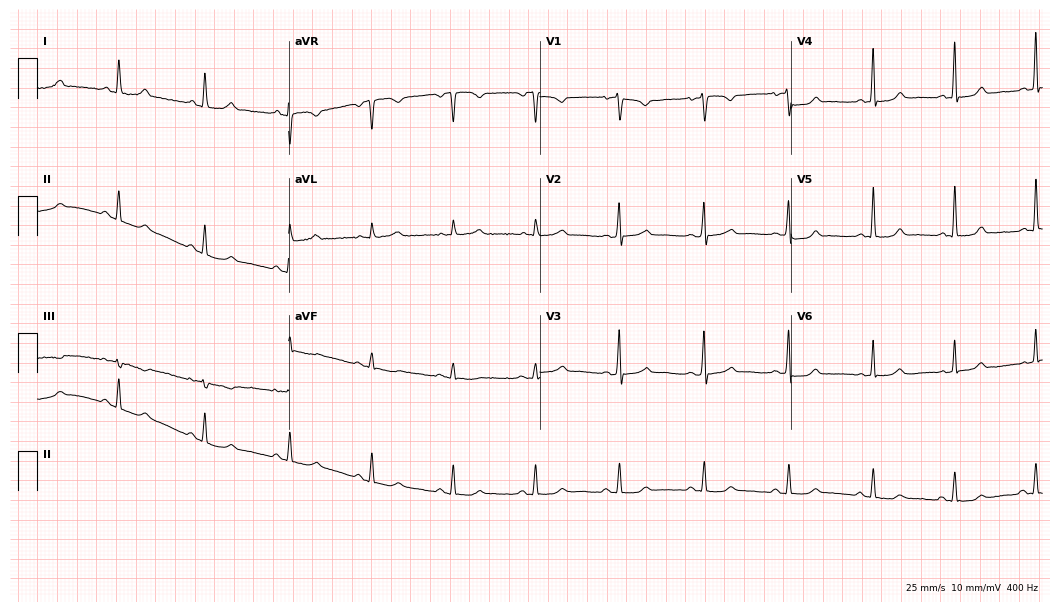
Resting 12-lead electrocardiogram (10.2-second recording at 400 Hz). Patient: a 49-year-old female. Read as a normal ECG.